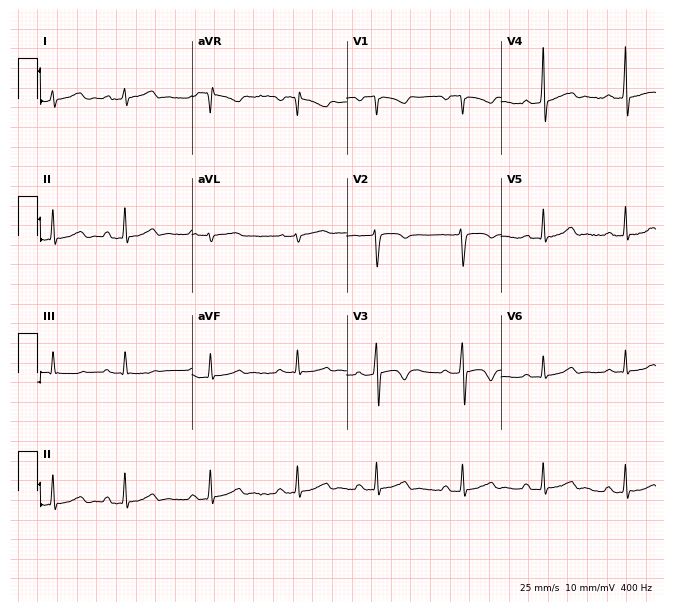
Standard 12-lead ECG recorded from a male patient, 17 years old. None of these six findings is recorded: first-degree AV block, right bundle branch block (RBBB), left bundle branch block (LBBB), sinus bradycardia, atrial fibrillation (AF), sinus tachycardia. Only these six findings were labelled.